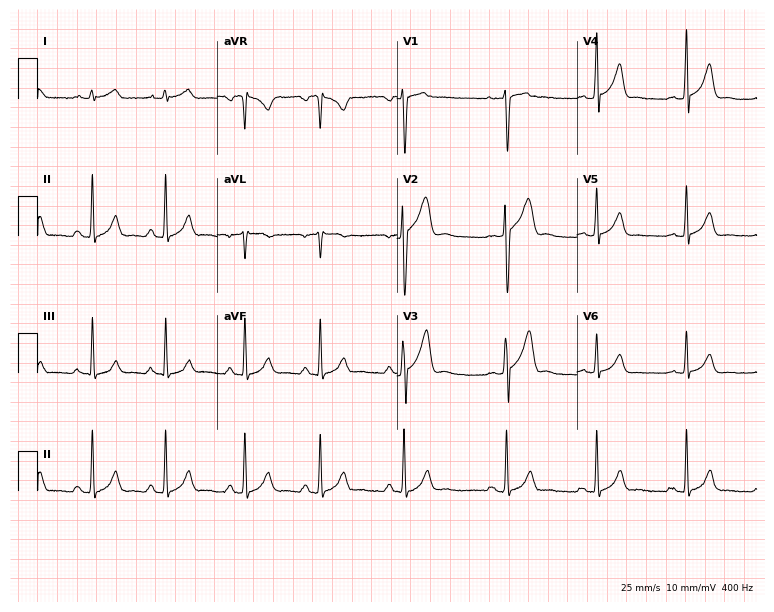
12-lead ECG from a 27-year-old woman (7.3-second recording at 400 Hz). Recorded interpretation: within normal limits.